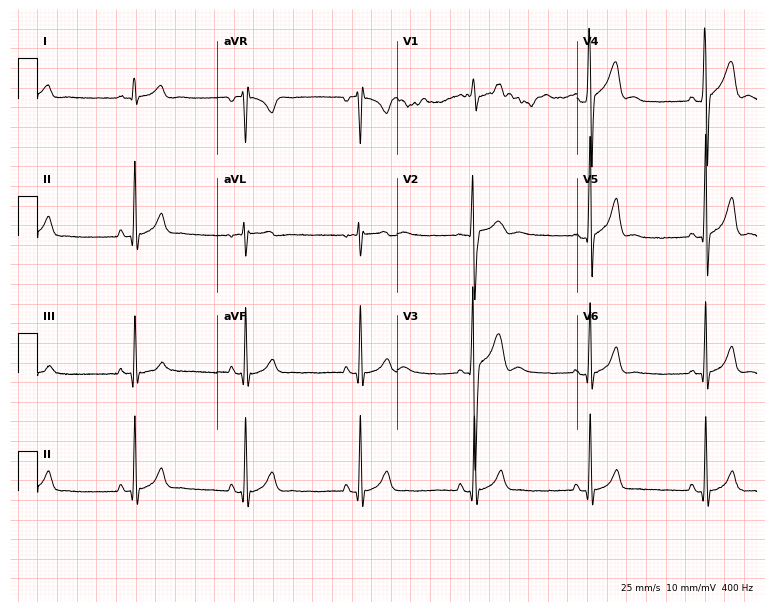
Electrocardiogram, a male patient, 18 years old. Of the six screened findings (first-degree AV block, right bundle branch block, left bundle branch block, sinus bradycardia, atrial fibrillation, sinus tachycardia), none is recorded.